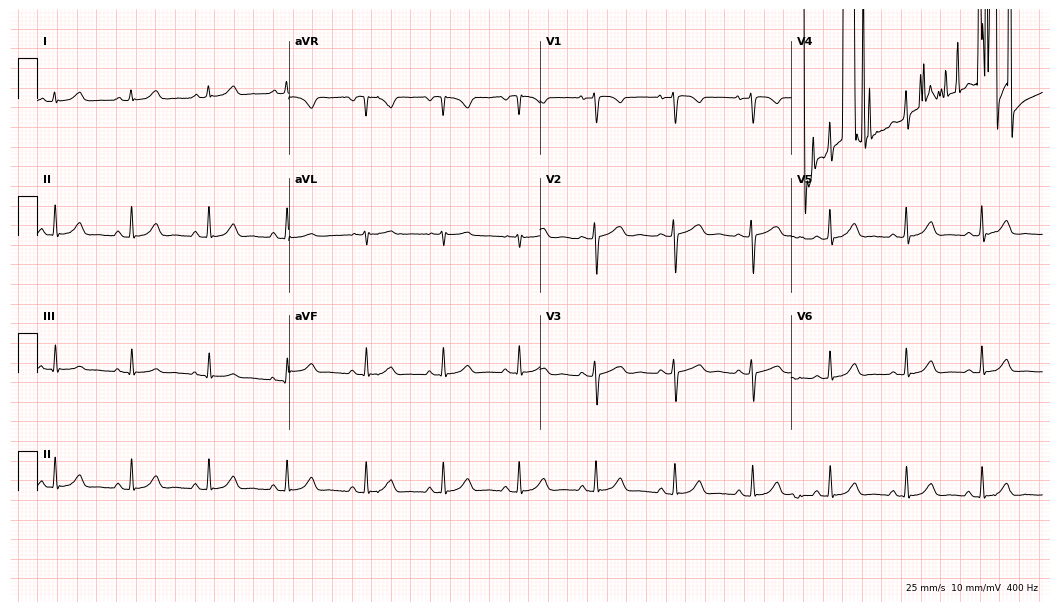
12-lead ECG from a female patient, 36 years old. Recorded interpretation: within normal limits.